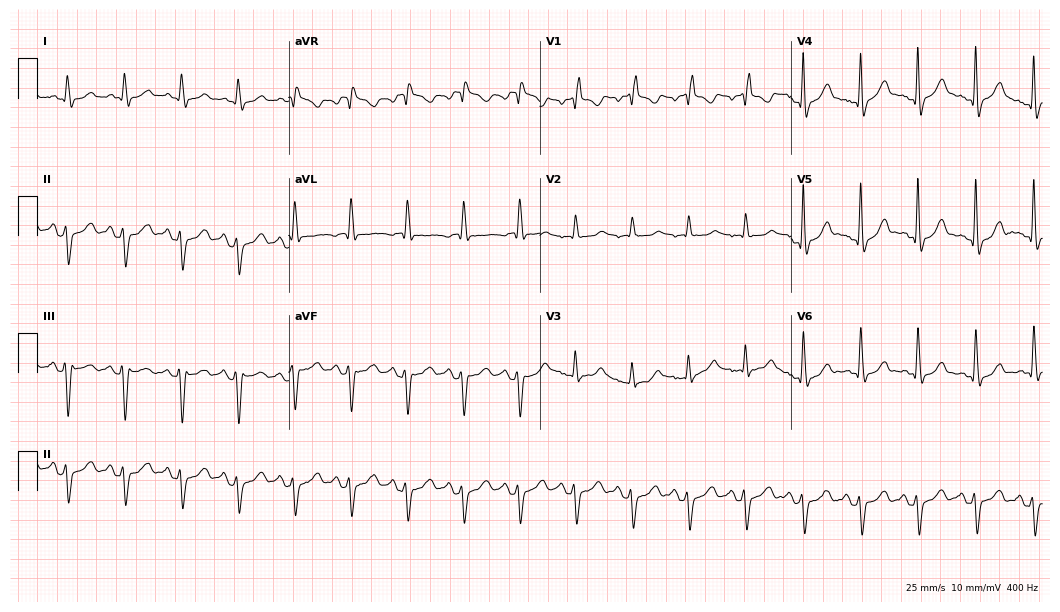
ECG — a male, 46 years old. Findings include right bundle branch block, sinus tachycardia (a sinus rate of 100 beats per minute or more).